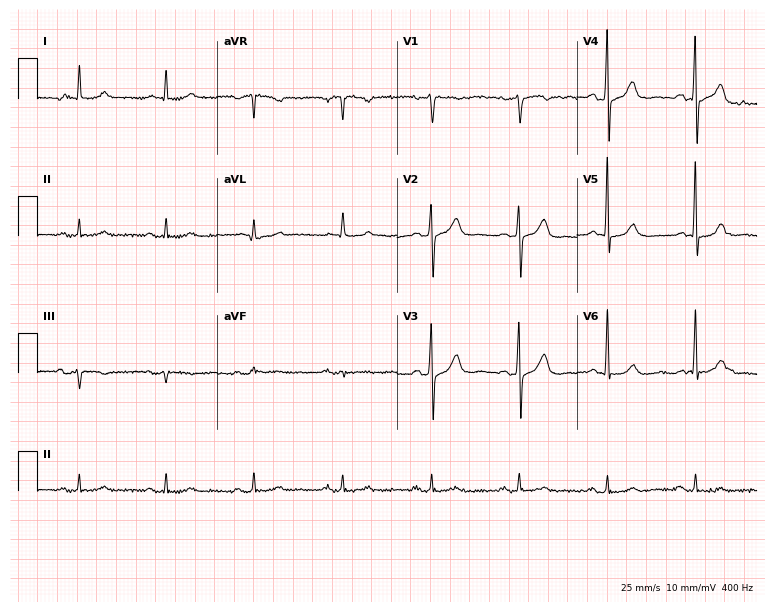
Standard 12-lead ECG recorded from a 79-year-old male patient (7.3-second recording at 400 Hz). None of these six findings is recorded: first-degree AV block, right bundle branch block (RBBB), left bundle branch block (LBBB), sinus bradycardia, atrial fibrillation (AF), sinus tachycardia.